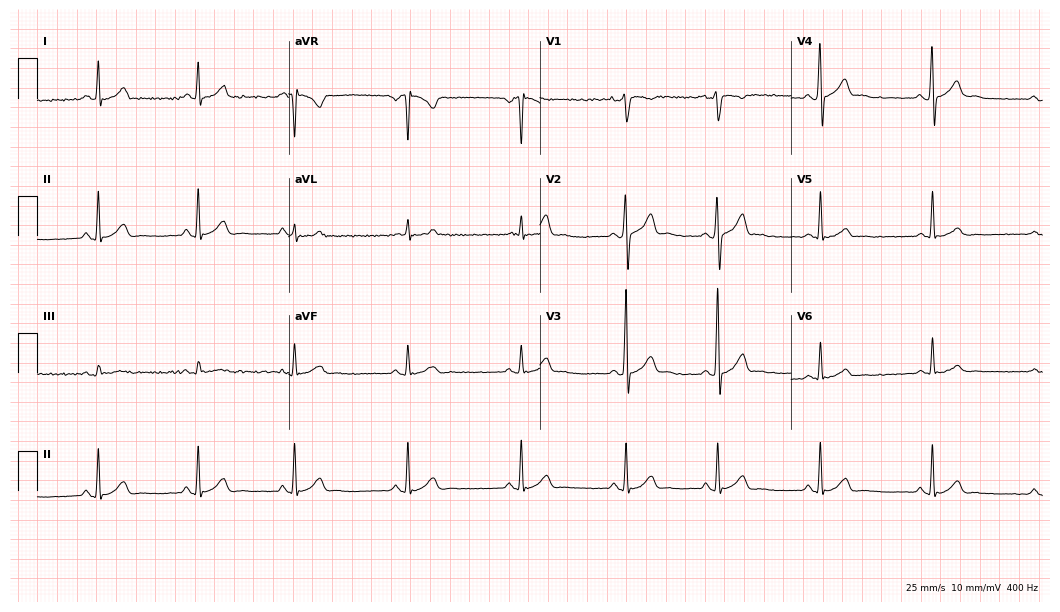
12-lead ECG from a 26-year-old male. Labelled as a normal ECG.